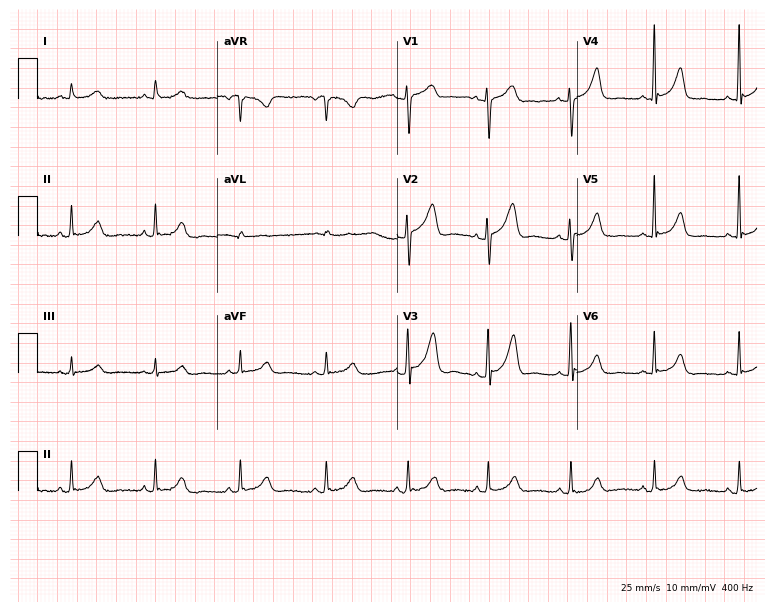
12-lead ECG from a female patient, 59 years old. Recorded interpretation: within normal limits.